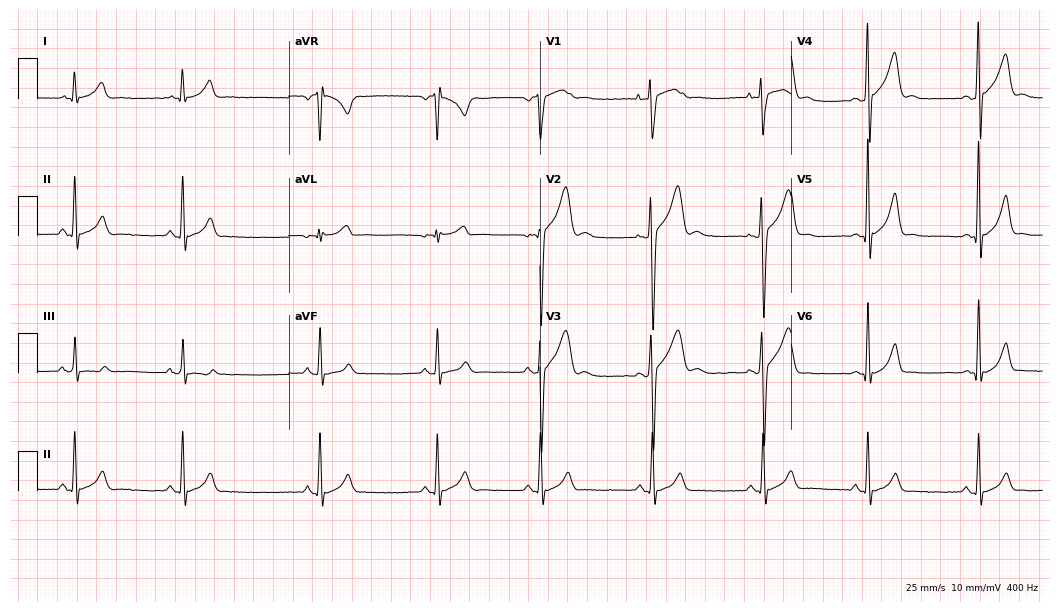
12-lead ECG (10.2-second recording at 400 Hz) from a male, 18 years old. Screened for six findings — first-degree AV block, right bundle branch block, left bundle branch block, sinus bradycardia, atrial fibrillation, sinus tachycardia — none is recorded.